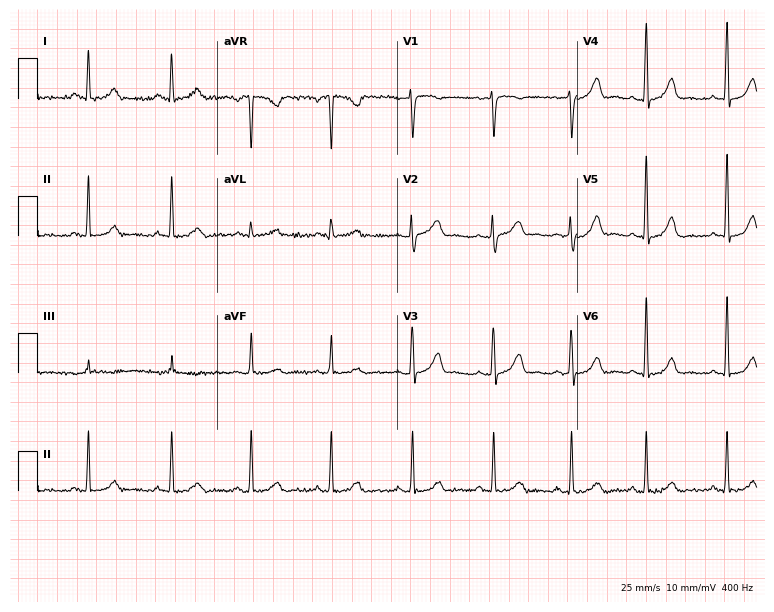
Electrocardiogram (7.3-second recording at 400 Hz), a female, 51 years old. Overall reading on record: normal ECG.